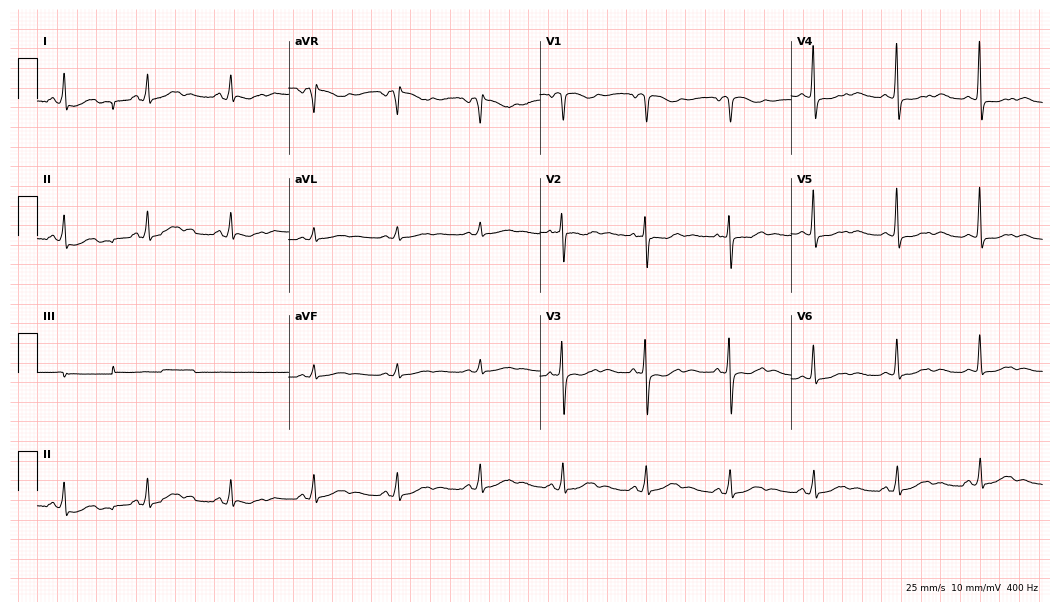
Resting 12-lead electrocardiogram. Patient: a female, 67 years old. Read as a normal ECG.